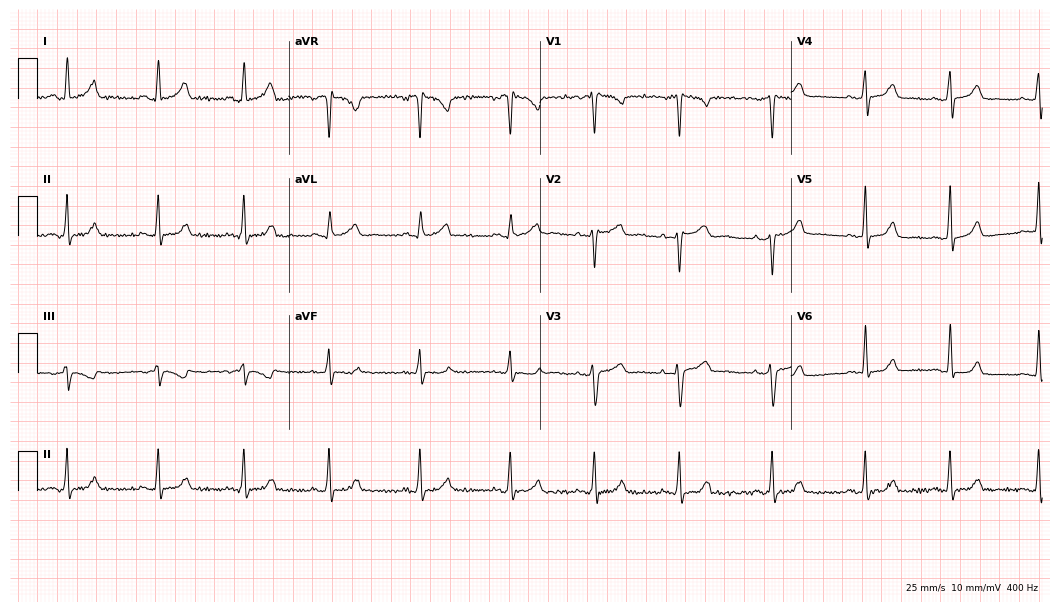
ECG — a 35-year-old woman. Screened for six findings — first-degree AV block, right bundle branch block (RBBB), left bundle branch block (LBBB), sinus bradycardia, atrial fibrillation (AF), sinus tachycardia — none is recorded.